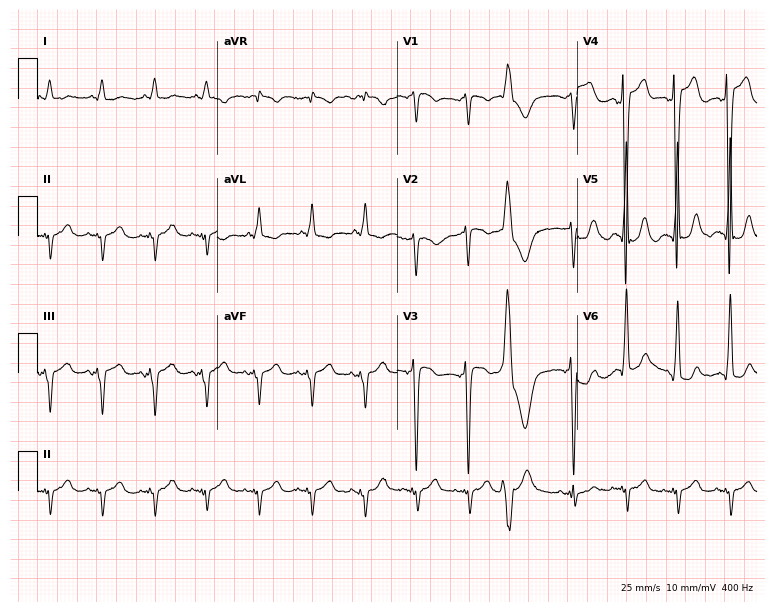
Standard 12-lead ECG recorded from an 82-year-old male. The tracing shows sinus tachycardia (a sinus rate of 100 beats per minute or more).